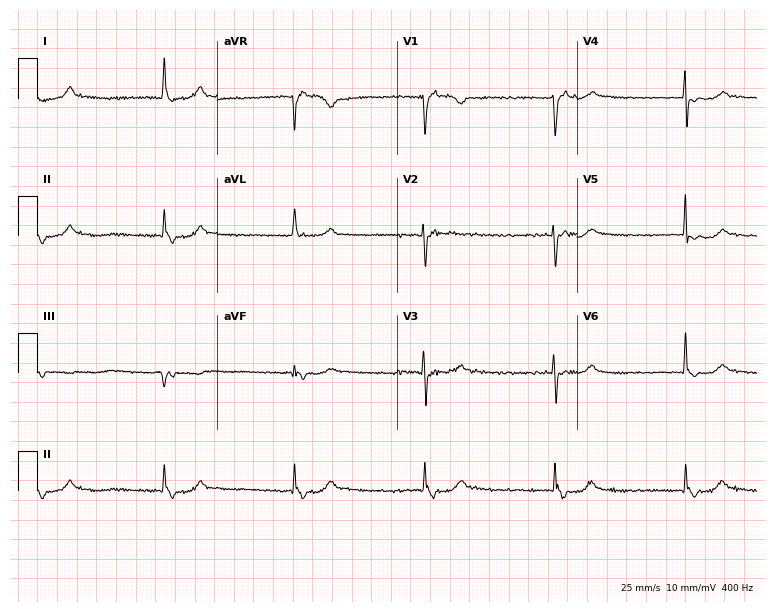
12-lead ECG (7.3-second recording at 400 Hz) from a female patient, 56 years old. Screened for six findings — first-degree AV block, right bundle branch block, left bundle branch block, sinus bradycardia, atrial fibrillation, sinus tachycardia — none is recorded.